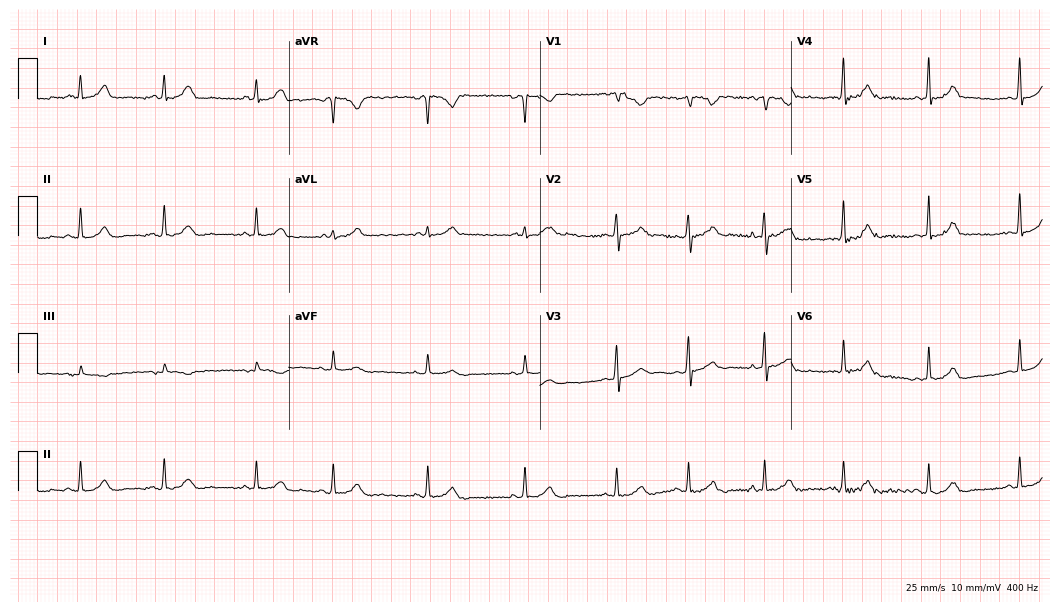
12-lead ECG from a 20-year-old woman. Recorded interpretation: within normal limits.